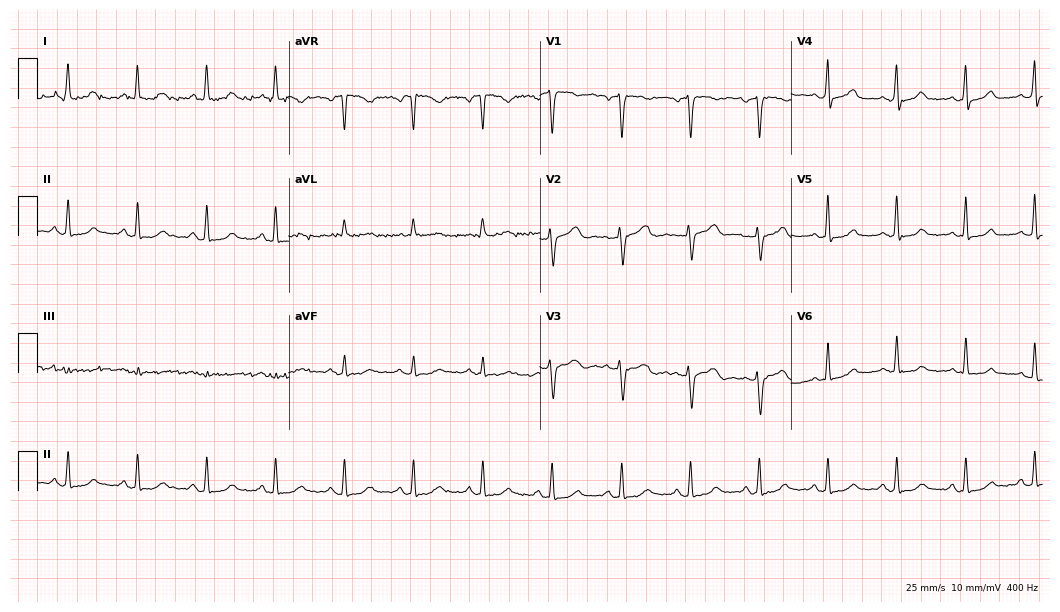
Standard 12-lead ECG recorded from a woman, 66 years old (10.2-second recording at 400 Hz). Read as a normal ECG.